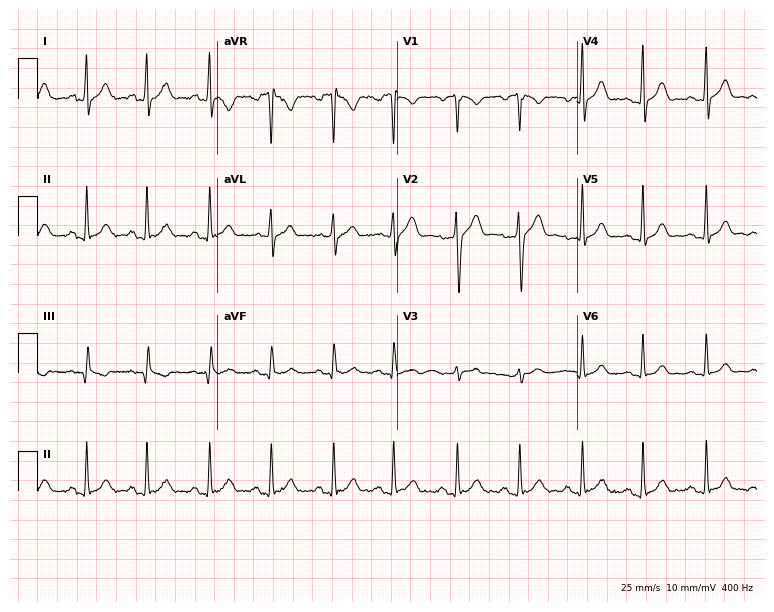
12-lead ECG from a male patient, 41 years old (7.3-second recording at 400 Hz). Recorded interpretation: within normal limits.